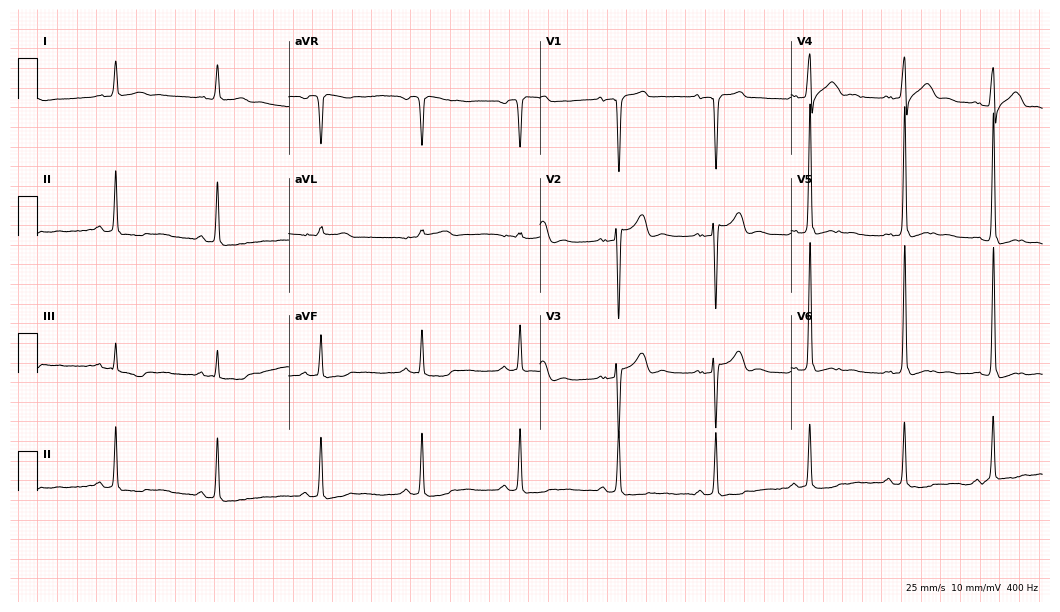
12-lead ECG (10.2-second recording at 400 Hz) from a male, 37 years old. Screened for six findings — first-degree AV block, right bundle branch block (RBBB), left bundle branch block (LBBB), sinus bradycardia, atrial fibrillation (AF), sinus tachycardia — none is recorded. Other findings, if any, are not listed.